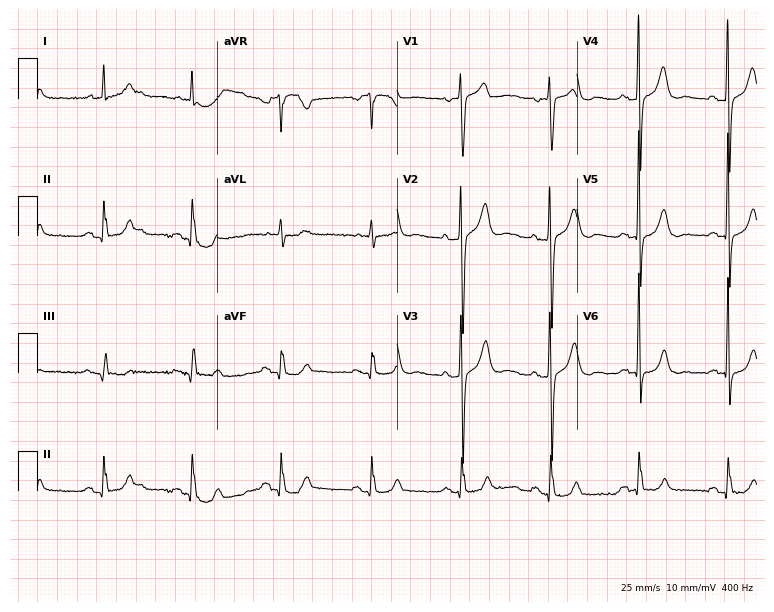
ECG — a female, 79 years old. Labelled as a normal ECG.